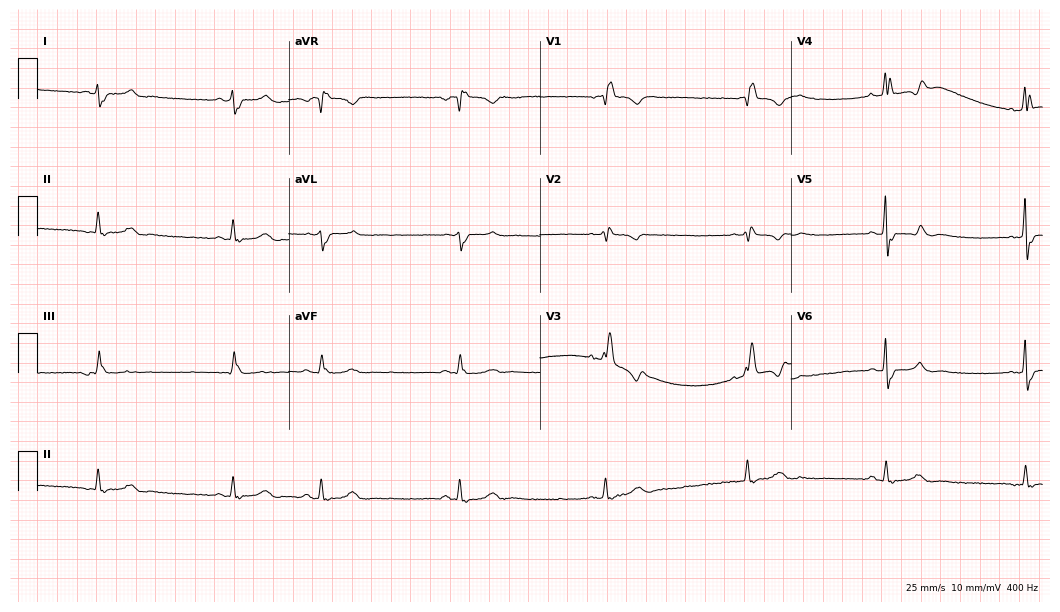
12-lead ECG from an 85-year-old male patient. Shows right bundle branch block (RBBB), sinus bradycardia (a sinus rate of 50 beats per minute or less).